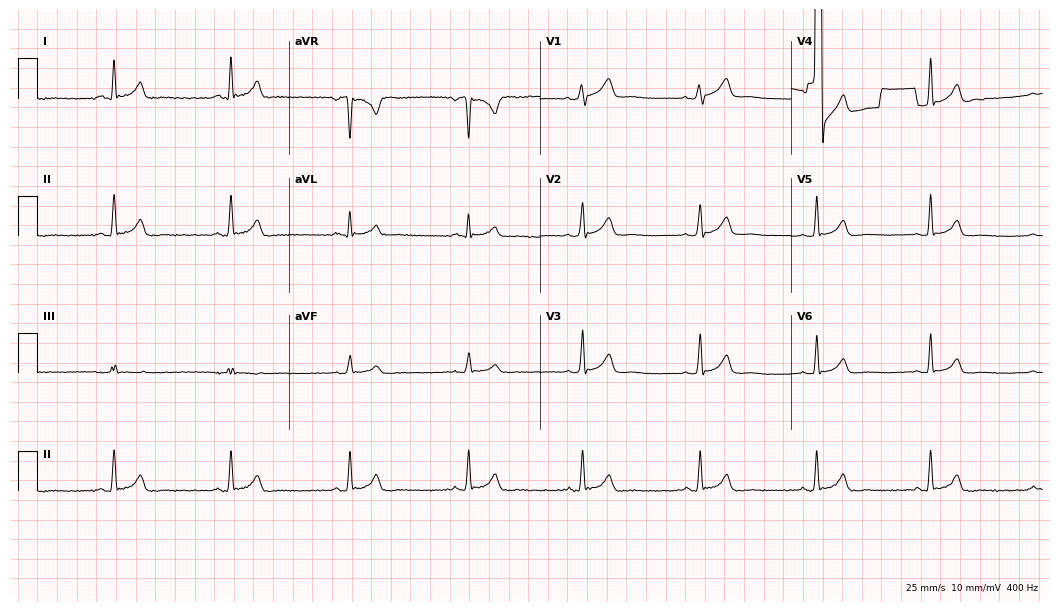
Resting 12-lead electrocardiogram. Patient: a female, 34 years old. Read as a normal ECG.